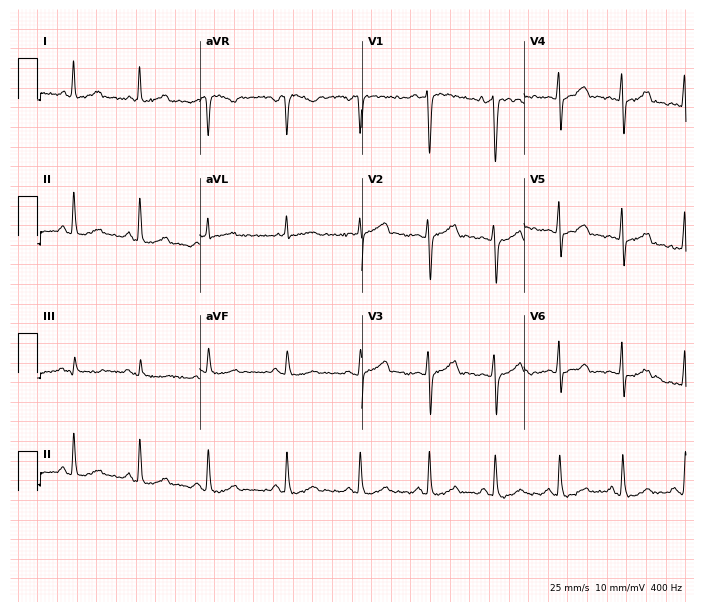
12-lead ECG from a 40-year-old woman. Screened for six findings — first-degree AV block, right bundle branch block, left bundle branch block, sinus bradycardia, atrial fibrillation, sinus tachycardia — none is recorded.